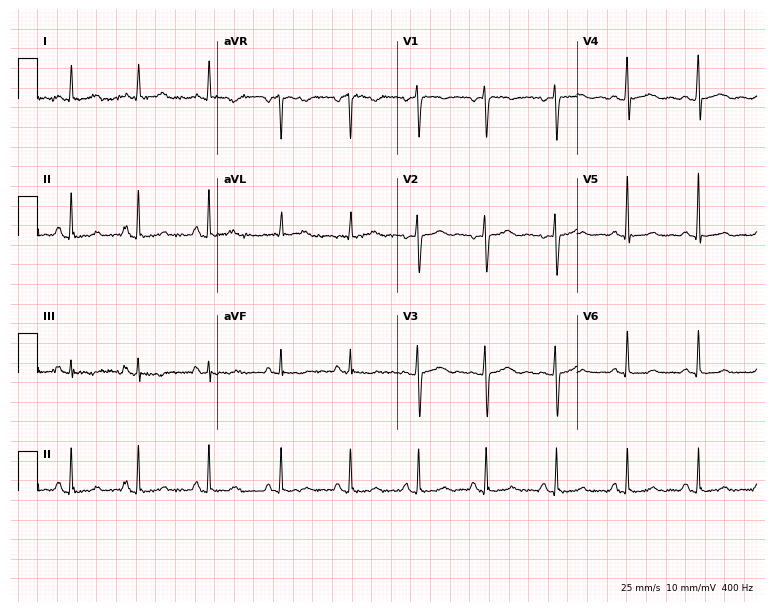
12-lead ECG from a woman, 47 years old. Screened for six findings — first-degree AV block, right bundle branch block, left bundle branch block, sinus bradycardia, atrial fibrillation, sinus tachycardia — none is recorded. Only these six findings were labelled.